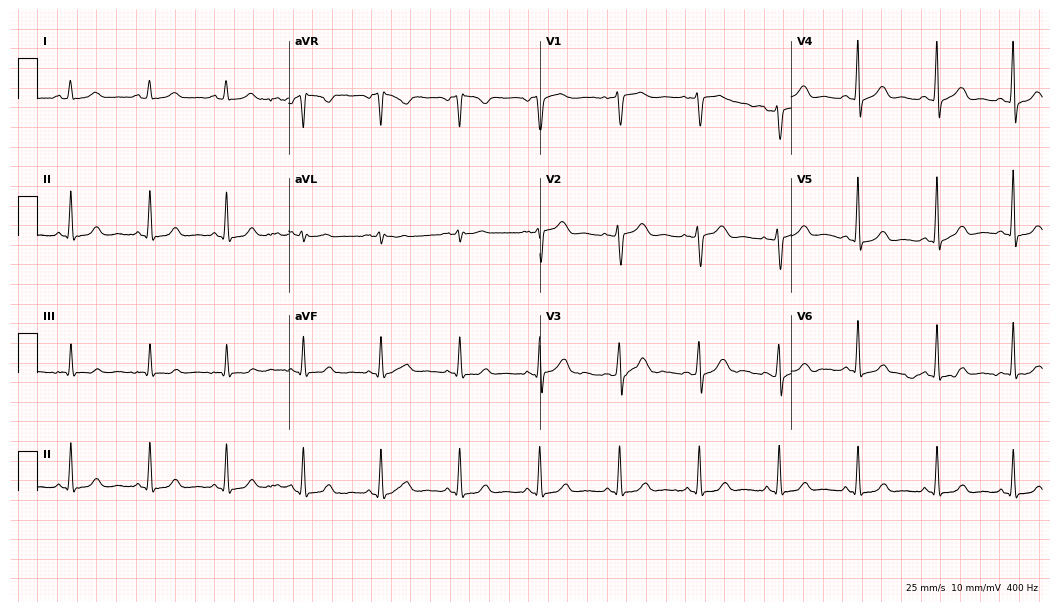
12-lead ECG from a woman, 54 years old. Recorded interpretation: within normal limits.